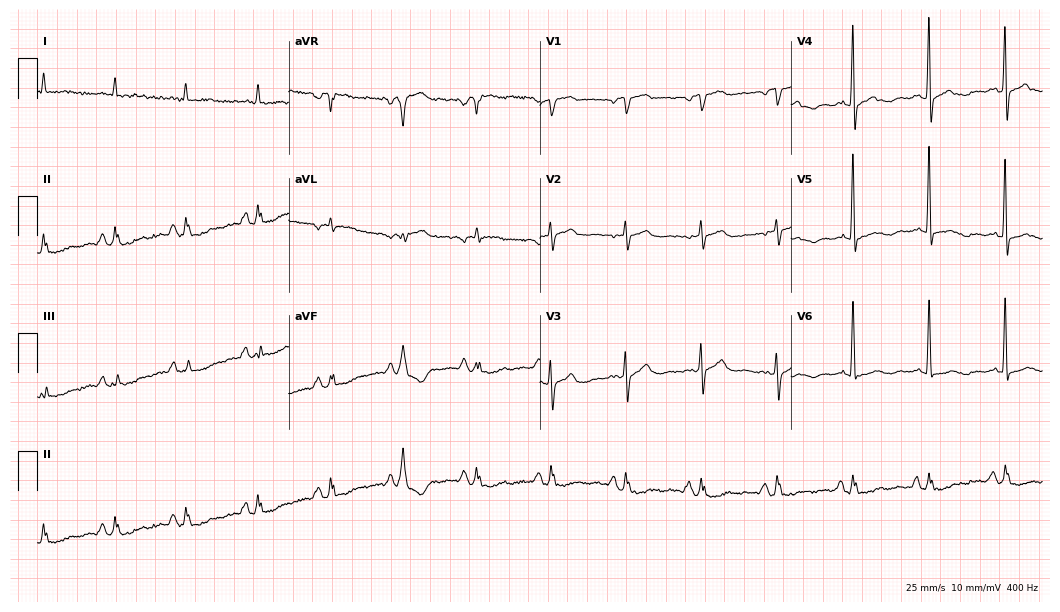
12-lead ECG from an 80-year-old male patient. Screened for six findings — first-degree AV block, right bundle branch block (RBBB), left bundle branch block (LBBB), sinus bradycardia, atrial fibrillation (AF), sinus tachycardia — none is recorded.